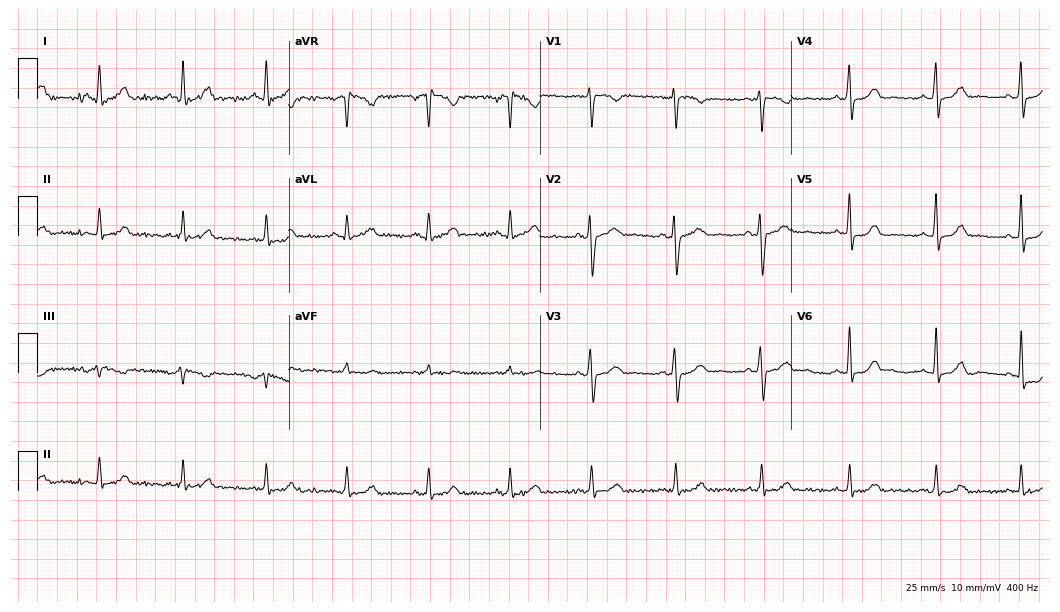
12-lead ECG (10.2-second recording at 400 Hz) from a 39-year-old female patient. Labelled as a normal ECG.